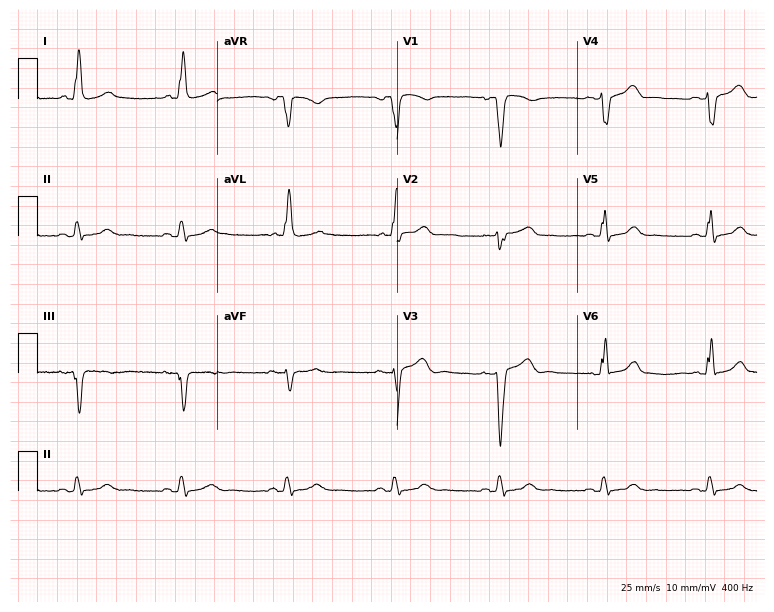
12-lead ECG from a female, 52 years old. Findings include left bundle branch block.